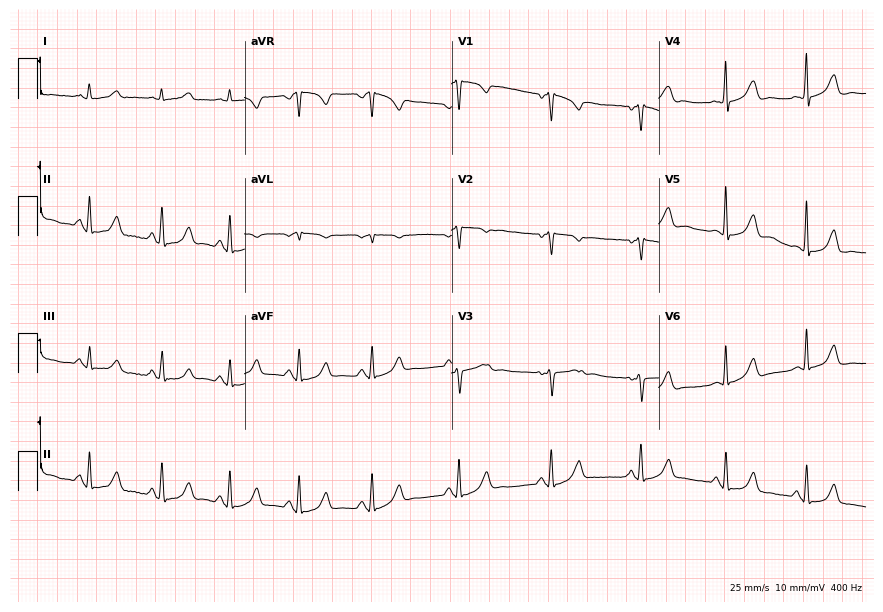
Electrocardiogram (8.4-second recording at 400 Hz), a 43-year-old female patient. Overall reading on record: normal ECG.